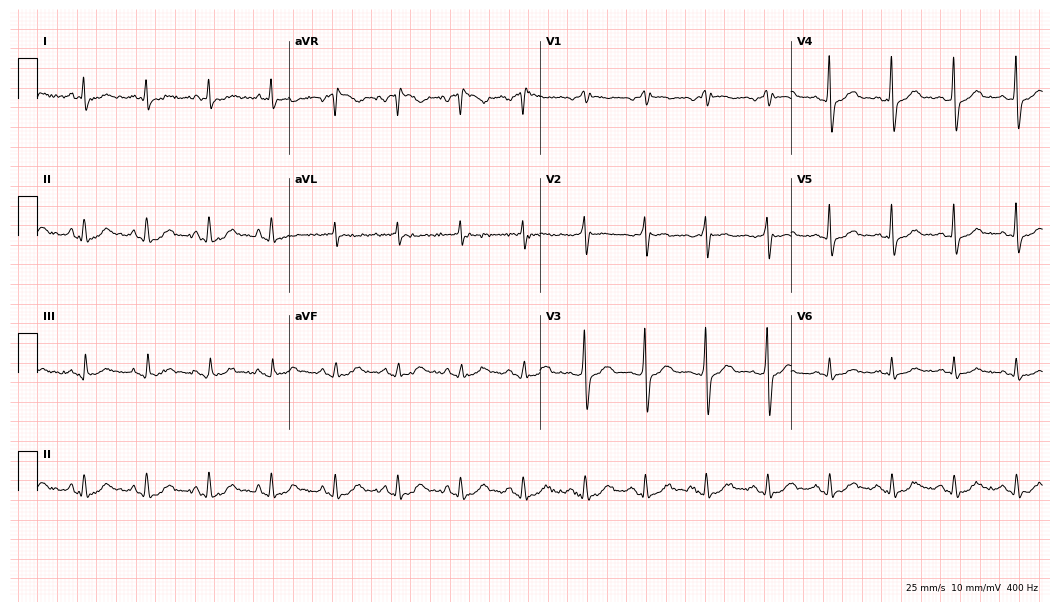
12-lead ECG from a 65-year-old man. No first-degree AV block, right bundle branch block, left bundle branch block, sinus bradycardia, atrial fibrillation or sinus tachycardia recorded for this tracing.